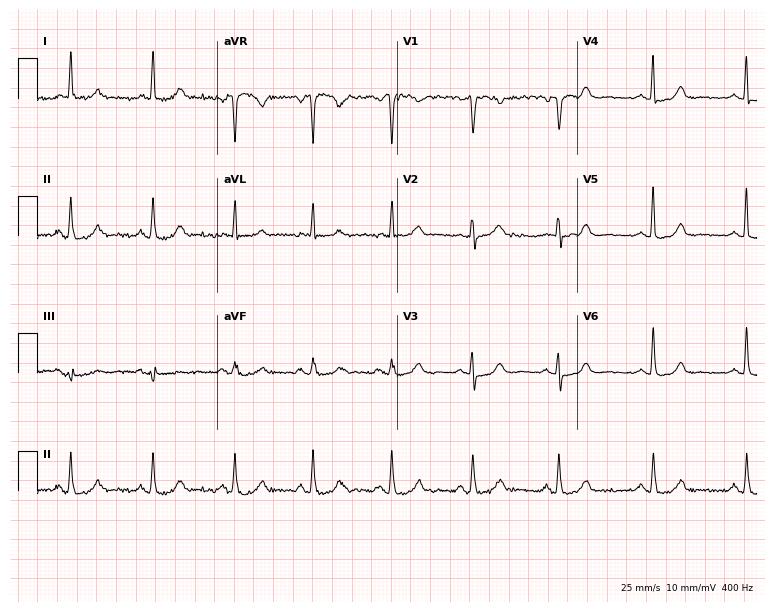
12-lead ECG from a 69-year-old female patient. Labelled as a normal ECG.